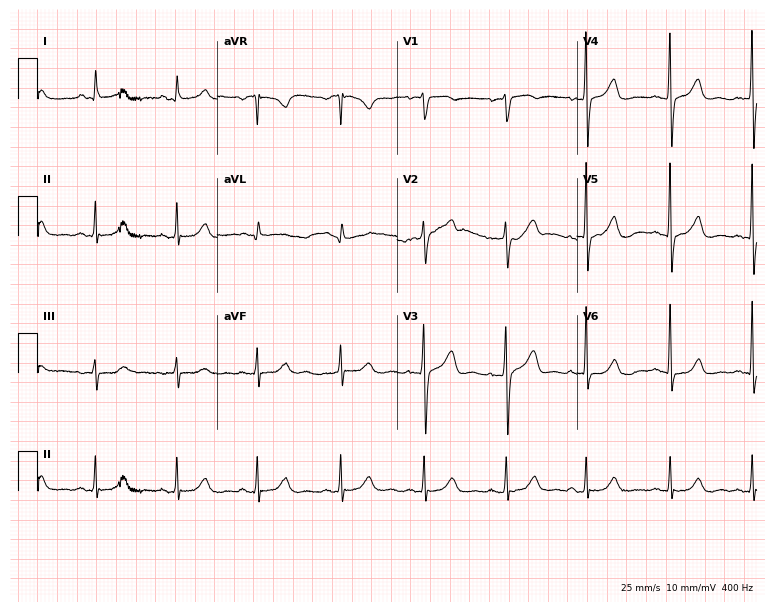
Resting 12-lead electrocardiogram. Patient: a female, 72 years old. None of these six findings is recorded: first-degree AV block, right bundle branch block (RBBB), left bundle branch block (LBBB), sinus bradycardia, atrial fibrillation (AF), sinus tachycardia. Other findings, if any, are not listed.